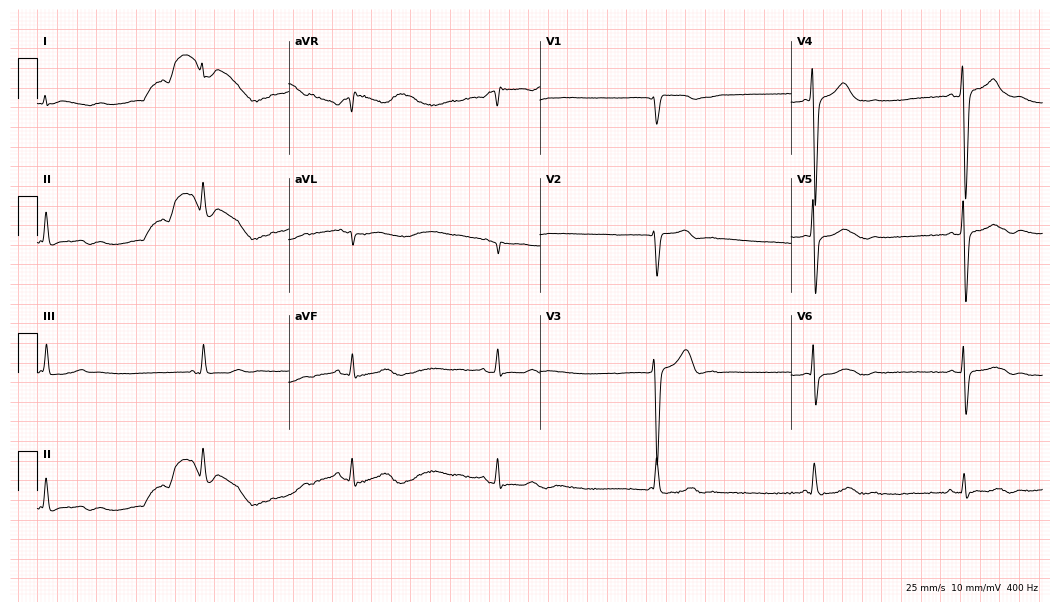
Electrocardiogram (10.2-second recording at 400 Hz), a male, 53 years old. Of the six screened findings (first-degree AV block, right bundle branch block (RBBB), left bundle branch block (LBBB), sinus bradycardia, atrial fibrillation (AF), sinus tachycardia), none is recorded.